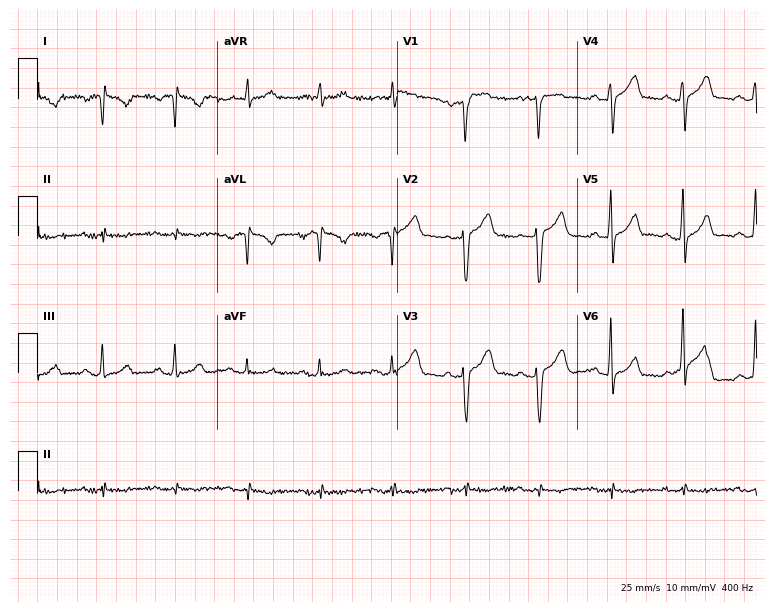
12-lead ECG (7.3-second recording at 400 Hz) from a male, 67 years old. Screened for six findings — first-degree AV block, right bundle branch block, left bundle branch block, sinus bradycardia, atrial fibrillation, sinus tachycardia — none is recorded.